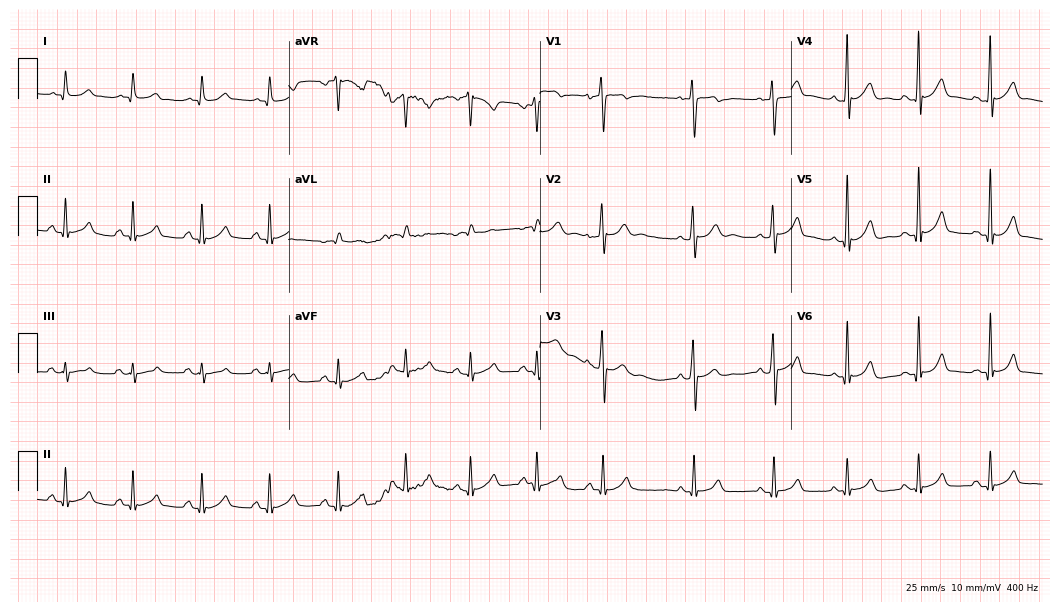
Standard 12-lead ECG recorded from a male patient, 17 years old. Read as a normal ECG.